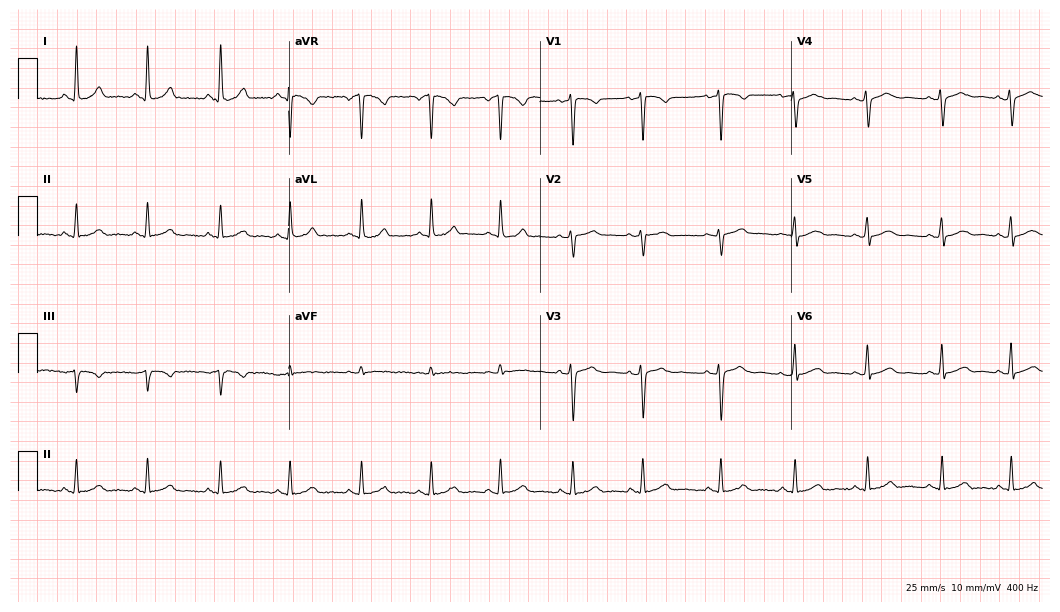
12-lead ECG from a 30-year-old female. Recorded interpretation: within normal limits.